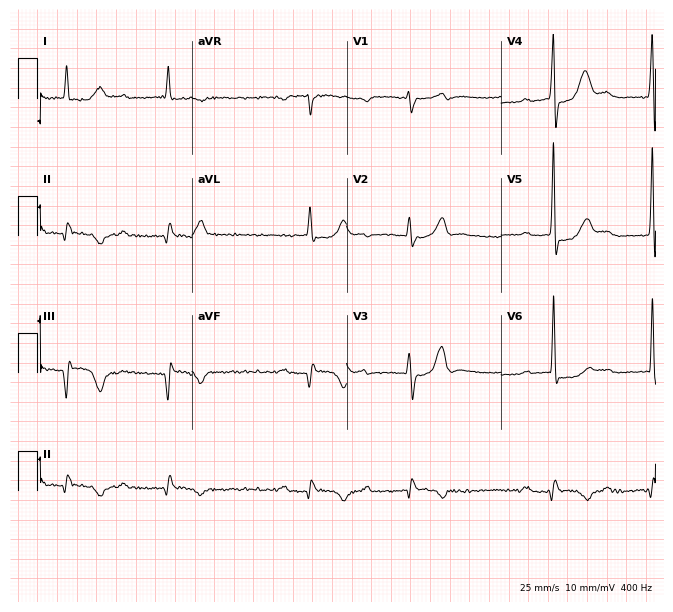
12-lead ECG from a 69-year-old male. Shows sinus bradycardia (a sinus rate of 50 beats per minute or less).